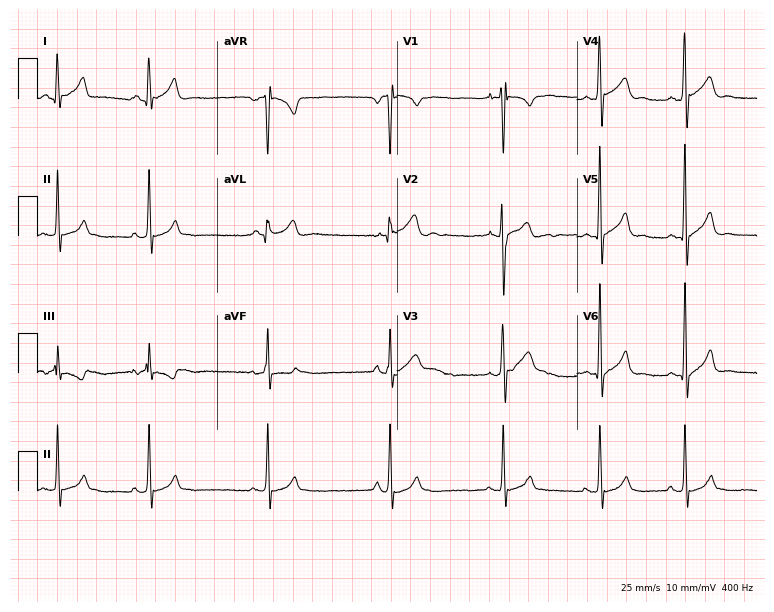
12-lead ECG from a man, 19 years old. Recorded interpretation: within normal limits.